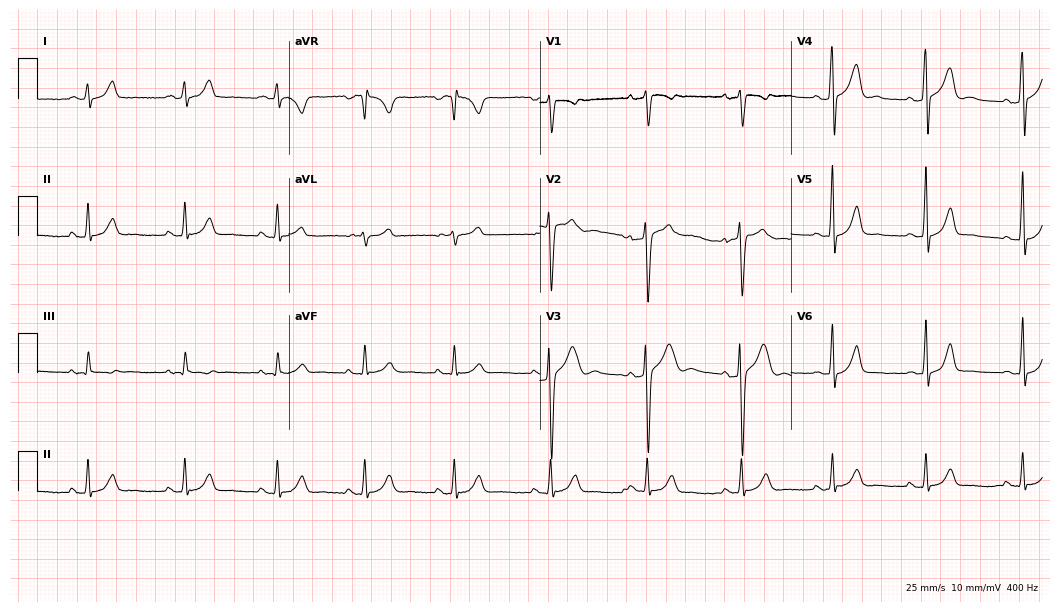
ECG — a male patient, 27 years old. Labelled as a normal ECG.